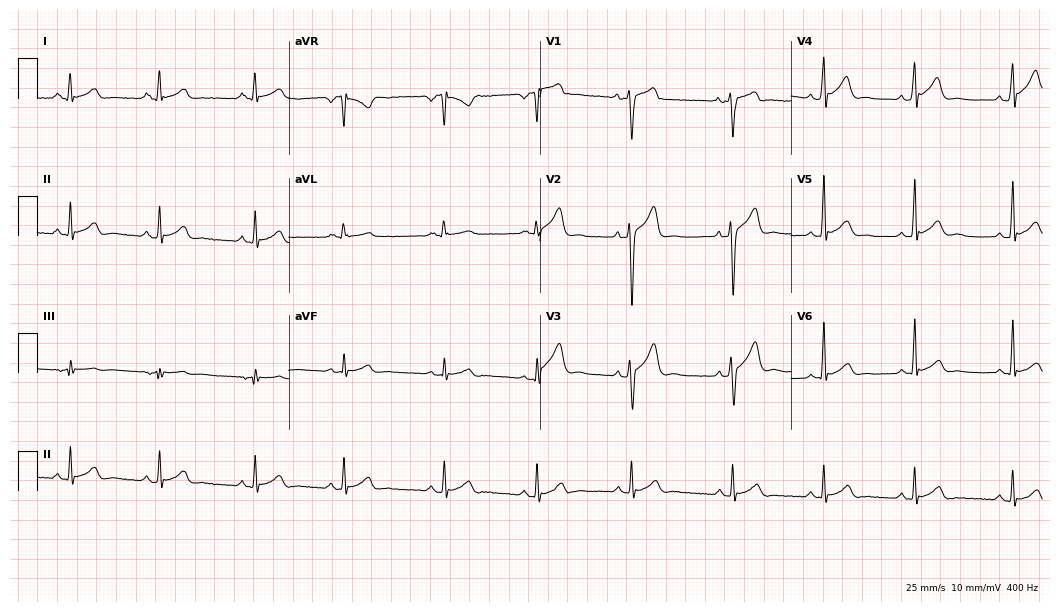
12-lead ECG from a 22-year-old male. Recorded interpretation: within normal limits.